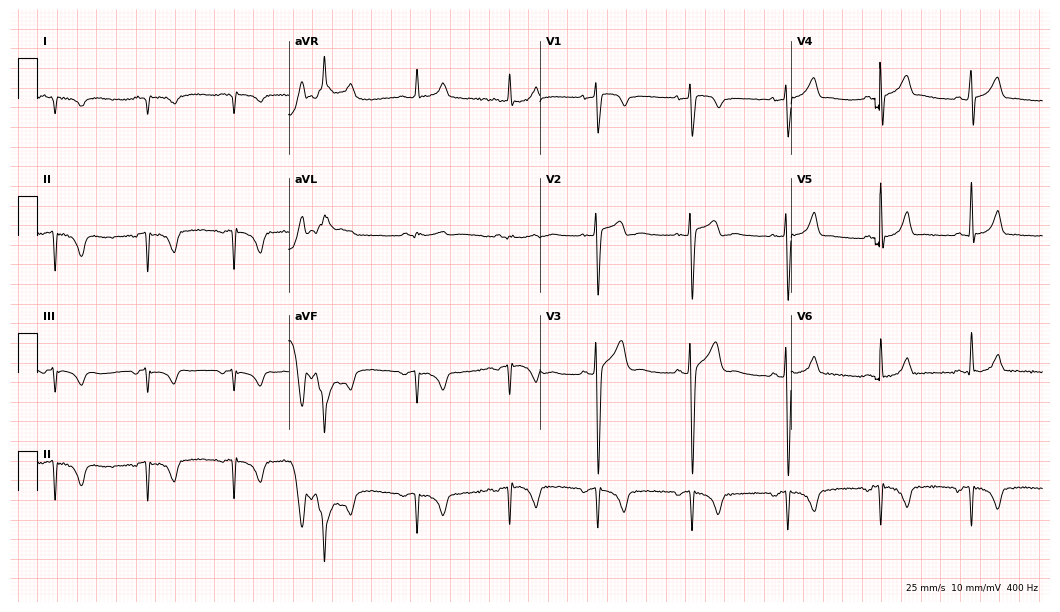
Standard 12-lead ECG recorded from a man, 25 years old (10.2-second recording at 400 Hz). Read as a normal ECG.